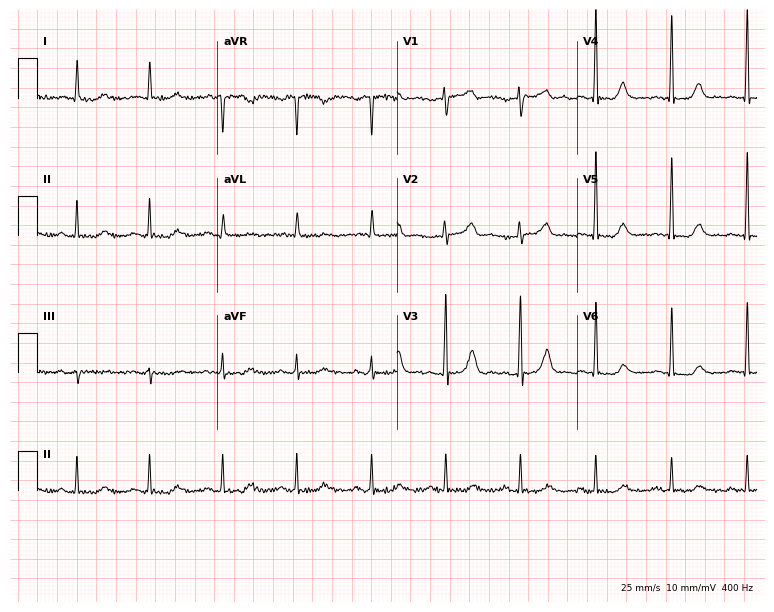
Electrocardiogram (7.3-second recording at 400 Hz), a 74-year-old female. Of the six screened findings (first-degree AV block, right bundle branch block, left bundle branch block, sinus bradycardia, atrial fibrillation, sinus tachycardia), none is recorded.